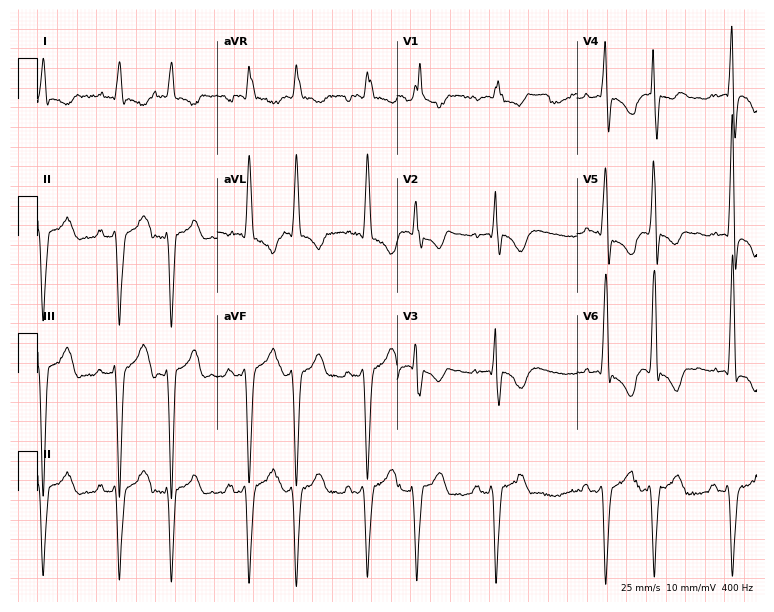
ECG (7.3-second recording at 400 Hz) — a male, 84 years old. Findings include left bundle branch block (LBBB), atrial fibrillation (AF).